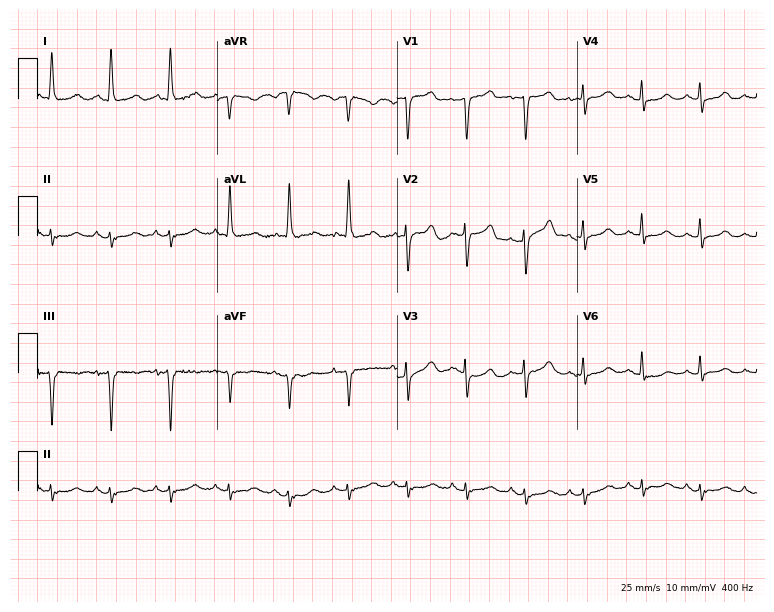
Electrocardiogram, a woman, 85 years old. Of the six screened findings (first-degree AV block, right bundle branch block, left bundle branch block, sinus bradycardia, atrial fibrillation, sinus tachycardia), none is recorded. Other findings, if any, are not listed.